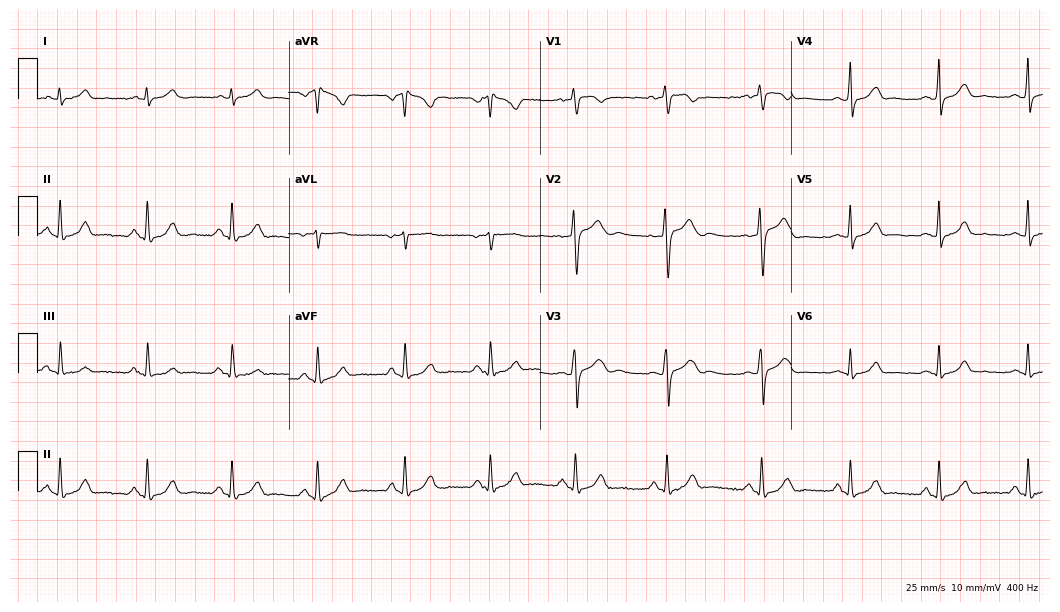
ECG — a female patient, 30 years old. Labelled as a normal ECG.